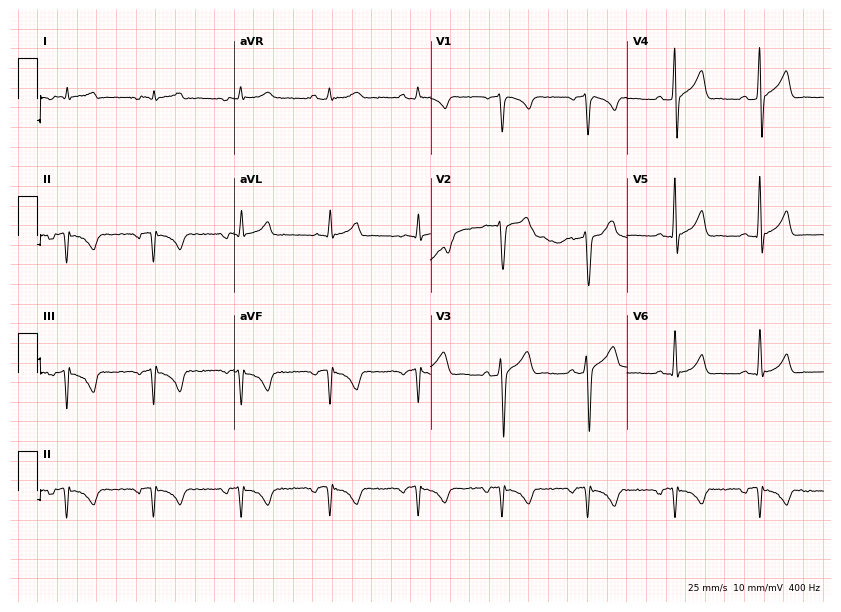
Electrocardiogram (8-second recording at 400 Hz), a 45-year-old man. Of the six screened findings (first-degree AV block, right bundle branch block, left bundle branch block, sinus bradycardia, atrial fibrillation, sinus tachycardia), none is recorded. Other findings, if any, are not listed.